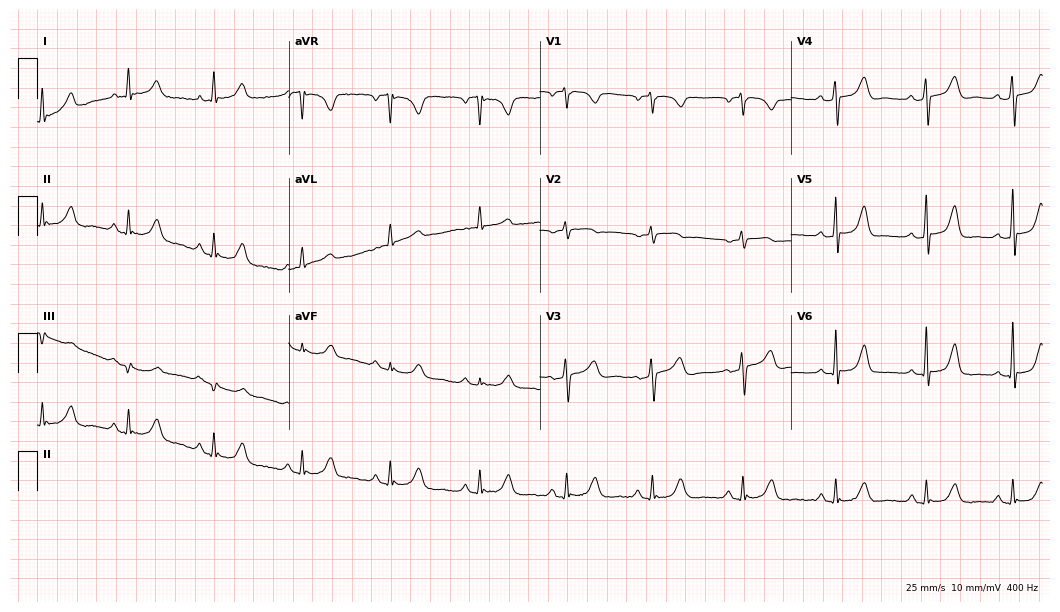
Standard 12-lead ECG recorded from a woman, 57 years old. Read as a normal ECG.